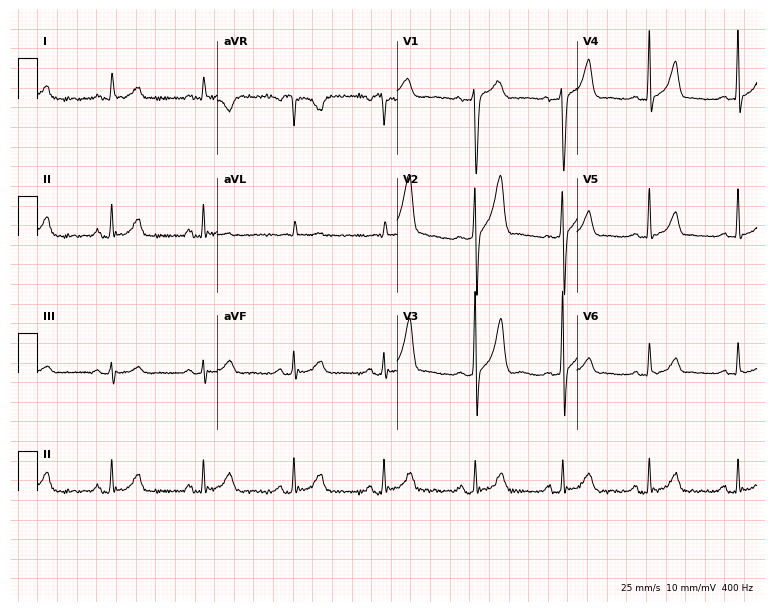
Standard 12-lead ECG recorded from a male patient, 45 years old. Read as a normal ECG.